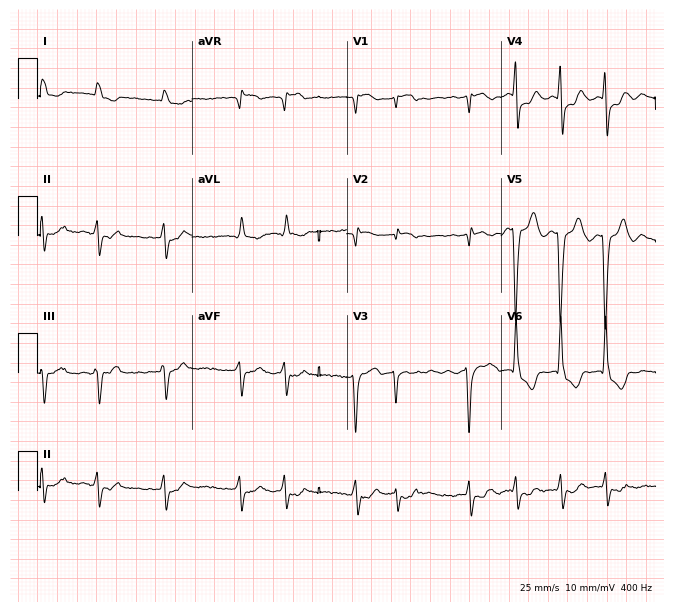
12-lead ECG from an 82-year-old female patient (6.3-second recording at 400 Hz). Shows atrial fibrillation.